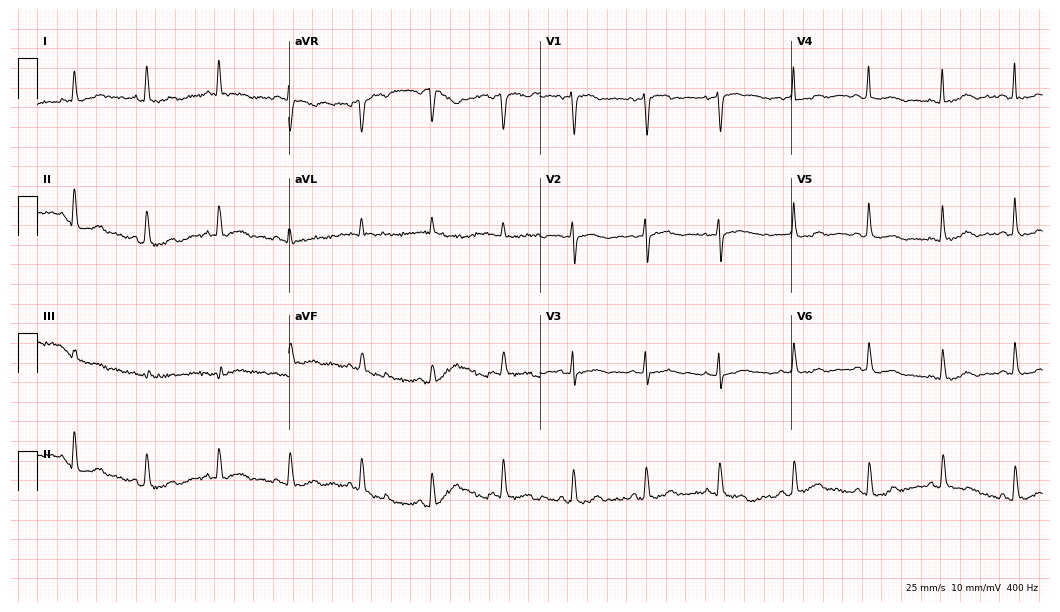
12-lead ECG (10.2-second recording at 400 Hz) from a 73-year-old woman. Labelled as a normal ECG.